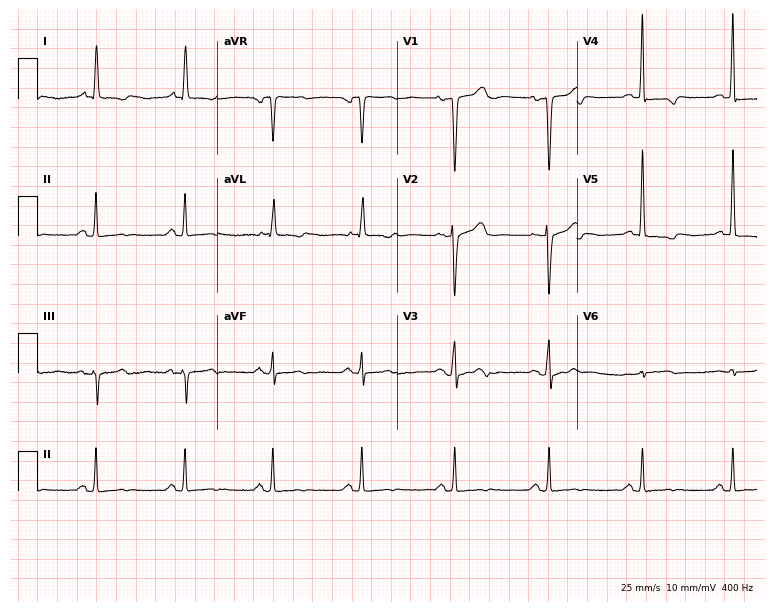
12-lead ECG from a female patient, 72 years old. Screened for six findings — first-degree AV block, right bundle branch block (RBBB), left bundle branch block (LBBB), sinus bradycardia, atrial fibrillation (AF), sinus tachycardia — none is recorded. Only these six findings were labelled.